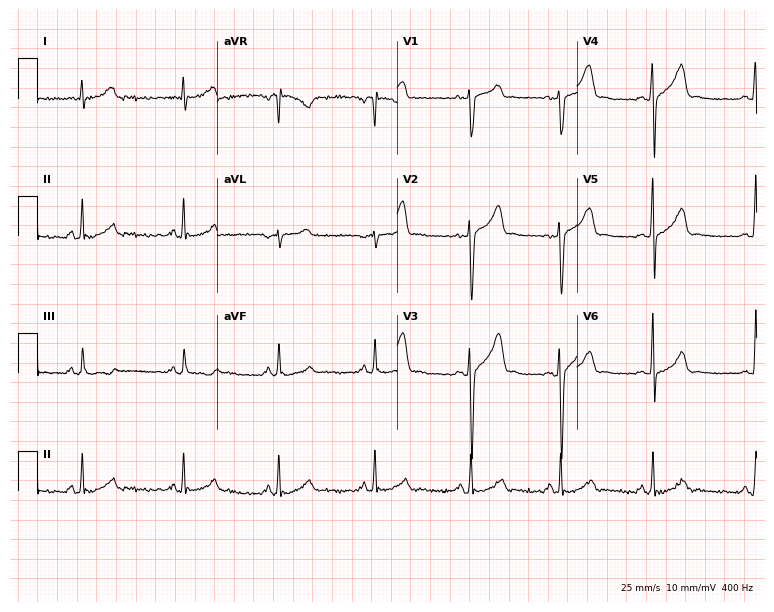
ECG (7.3-second recording at 400 Hz) — a male patient, 23 years old. Labelled as a normal ECG.